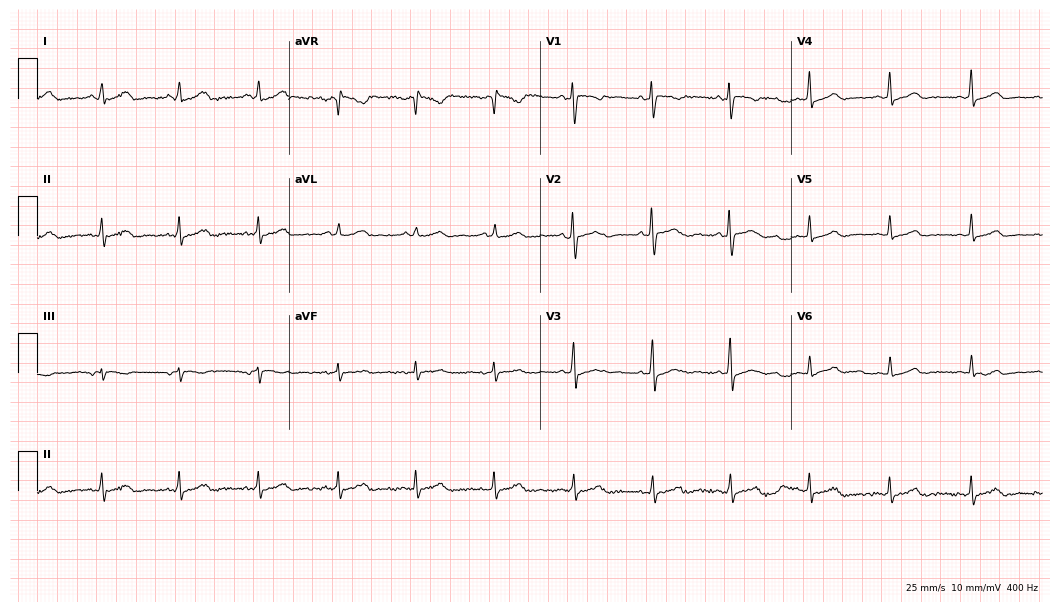
12-lead ECG (10.2-second recording at 400 Hz) from a 51-year-old female. Screened for six findings — first-degree AV block, right bundle branch block (RBBB), left bundle branch block (LBBB), sinus bradycardia, atrial fibrillation (AF), sinus tachycardia — none is recorded. Findings outside these six are not listed.